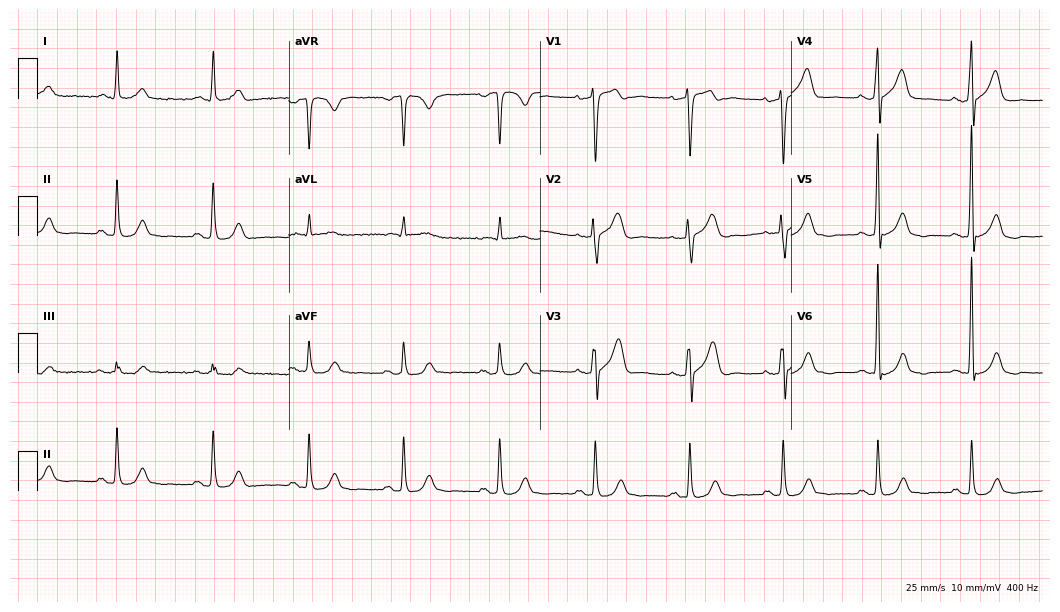
12-lead ECG from a 64-year-old female patient. Labelled as a normal ECG.